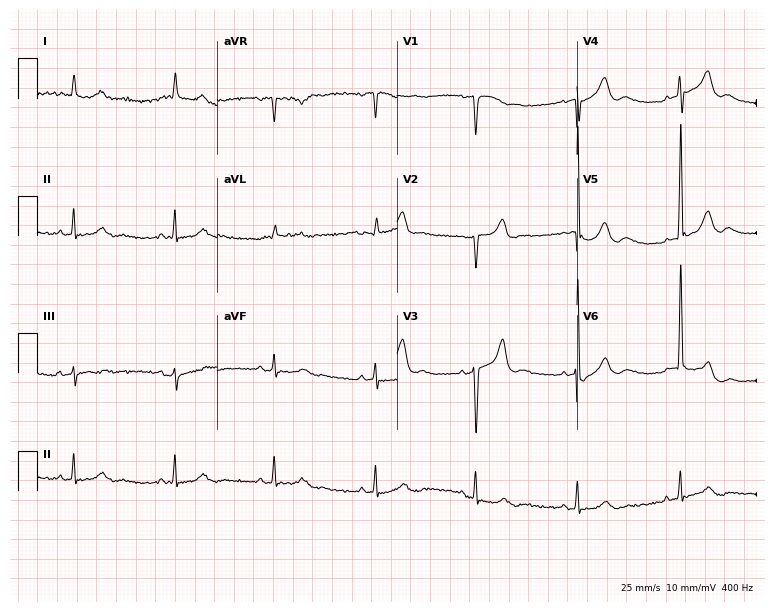
Resting 12-lead electrocardiogram (7.3-second recording at 400 Hz). Patient: a 76-year-old female. None of these six findings is recorded: first-degree AV block, right bundle branch block, left bundle branch block, sinus bradycardia, atrial fibrillation, sinus tachycardia.